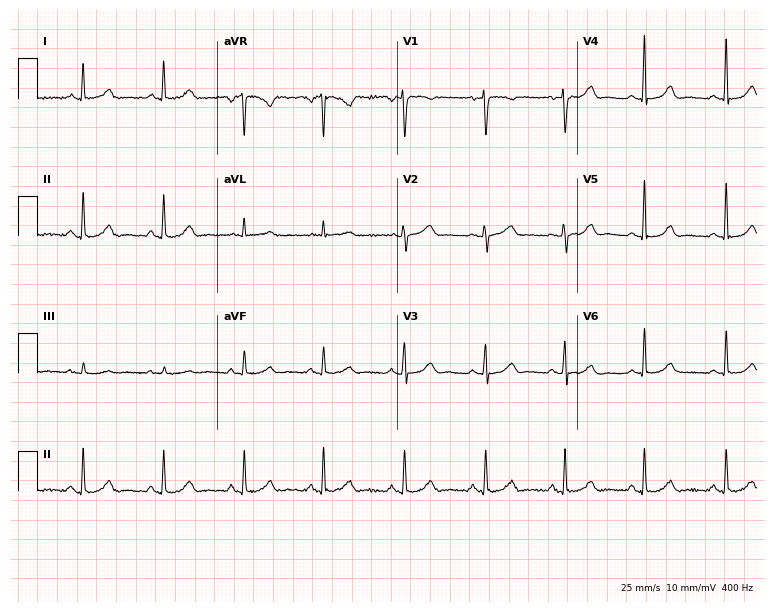
Resting 12-lead electrocardiogram. Patient: a woman, 44 years old. Read as a normal ECG.